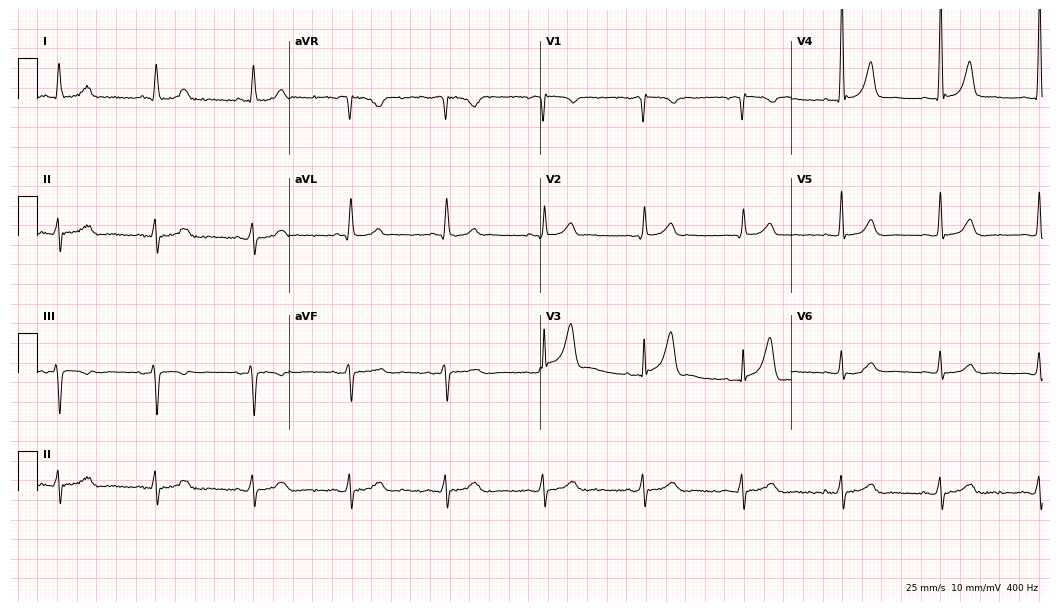
Resting 12-lead electrocardiogram. Patient: a 67-year-old male. None of these six findings is recorded: first-degree AV block, right bundle branch block (RBBB), left bundle branch block (LBBB), sinus bradycardia, atrial fibrillation (AF), sinus tachycardia.